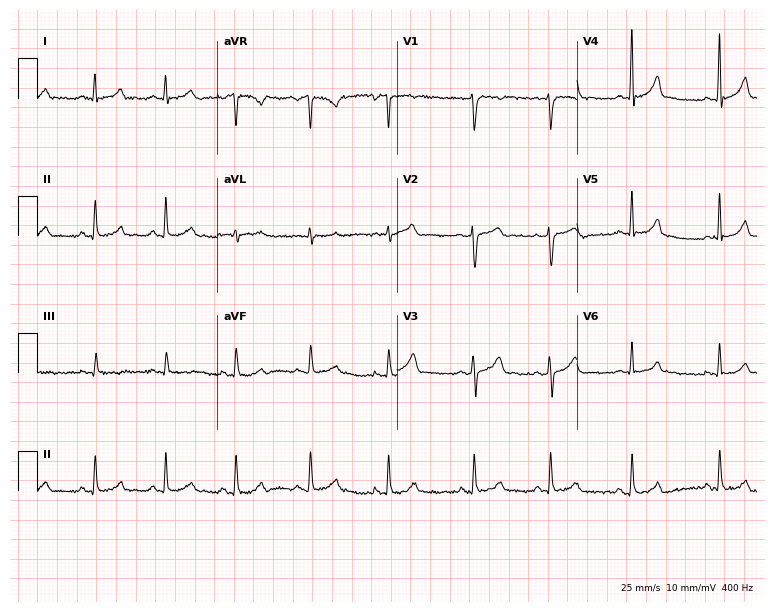
12-lead ECG from a 37-year-old woman. Recorded interpretation: within normal limits.